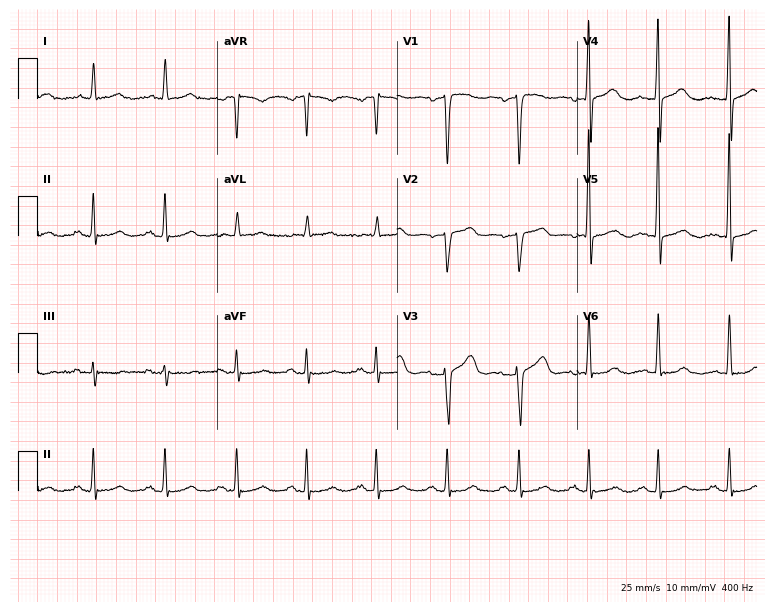
Resting 12-lead electrocardiogram. Patient: a 53-year-old female. None of these six findings is recorded: first-degree AV block, right bundle branch block, left bundle branch block, sinus bradycardia, atrial fibrillation, sinus tachycardia. Only these six findings were labelled.